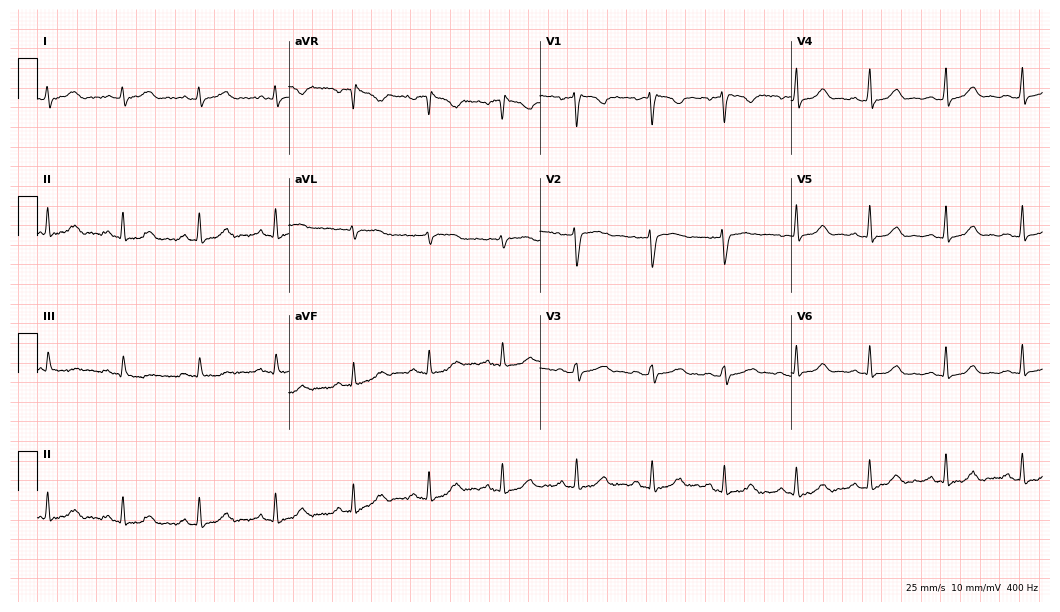
Resting 12-lead electrocardiogram. Patient: a 32-year-old female. Read as a normal ECG.